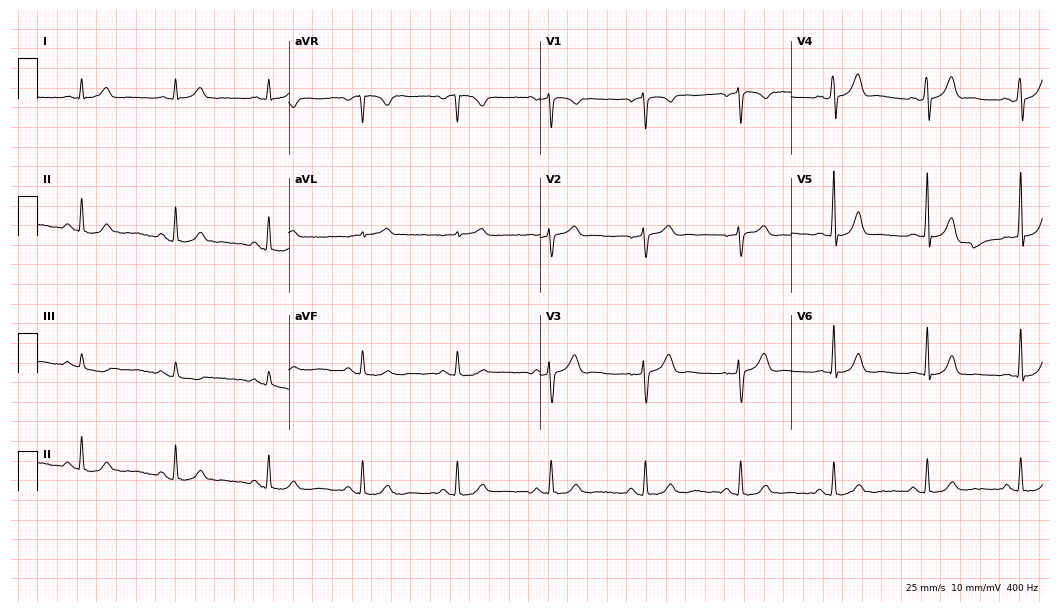
12-lead ECG from a 54-year-old male patient (10.2-second recording at 400 Hz). Recorded interpretation: within normal limits.